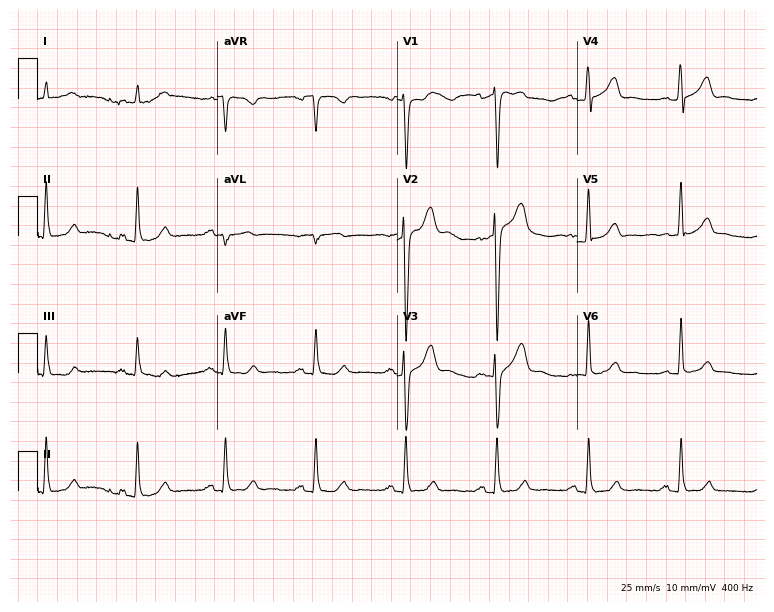
12-lead ECG from a man, 58 years old (7.3-second recording at 400 Hz). Recorded interpretation: within normal limits.